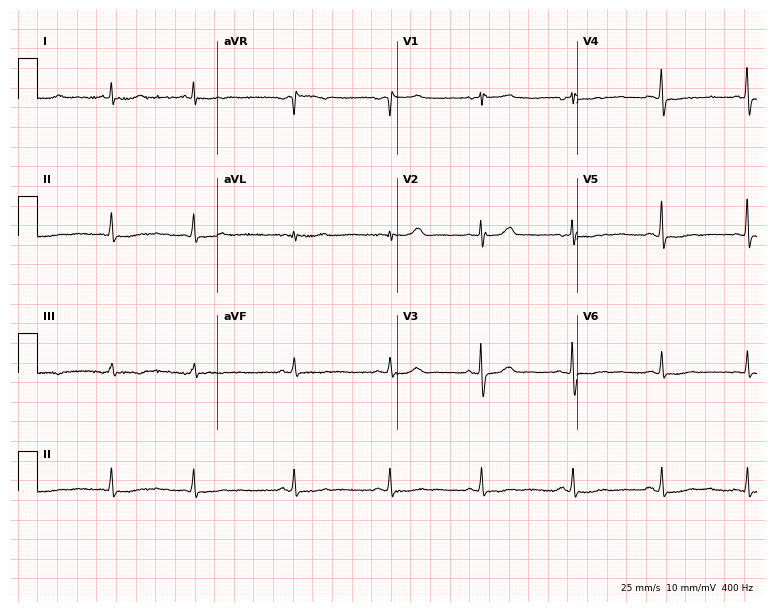
12-lead ECG from a woman, 69 years old. No first-degree AV block, right bundle branch block, left bundle branch block, sinus bradycardia, atrial fibrillation or sinus tachycardia recorded for this tracing. Other findings, if any, are not listed.